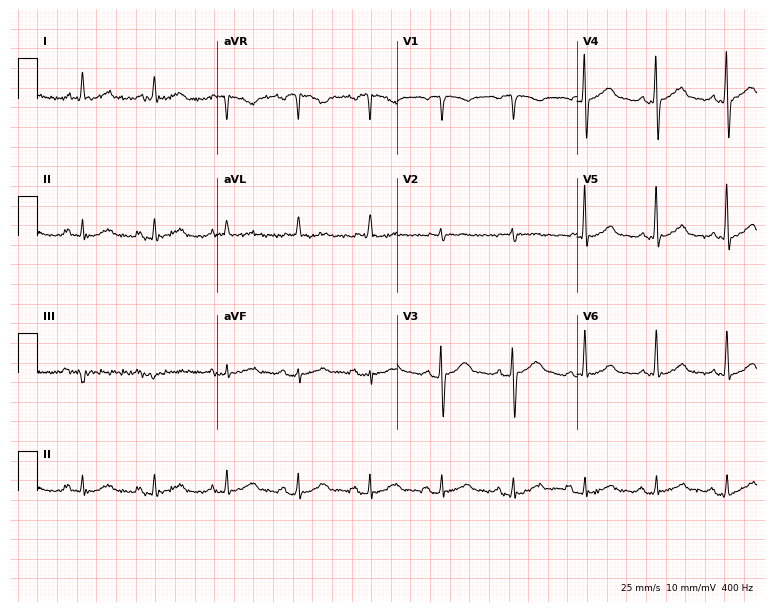
Standard 12-lead ECG recorded from a male, 72 years old. None of these six findings is recorded: first-degree AV block, right bundle branch block (RBBB), left bundle branch block (LBBB), sinus bradycardia, atrial fibrillation (AF), sinus tachycardia.